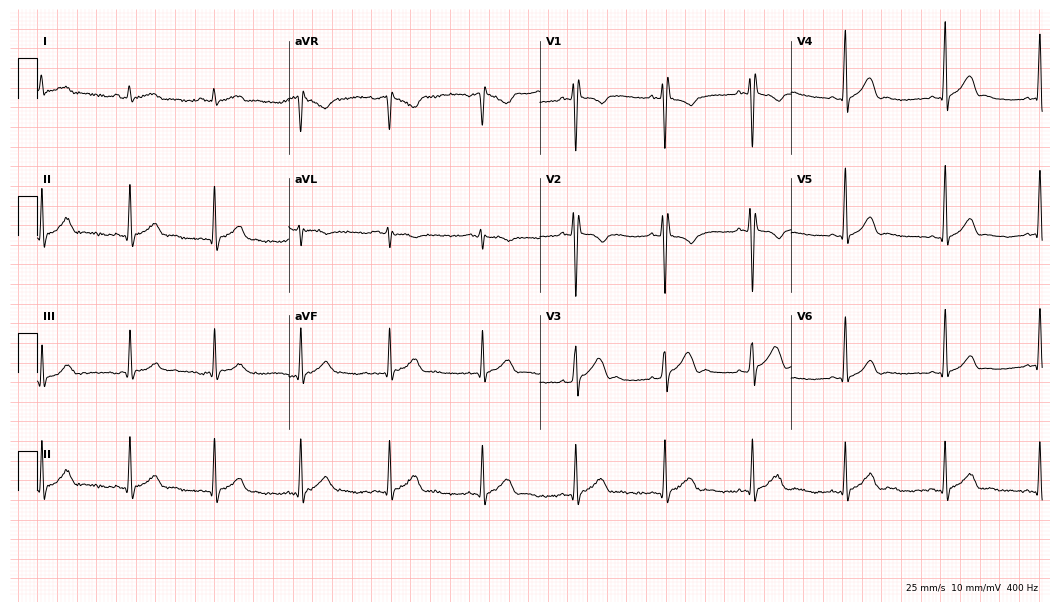
Standard 12-lead ECG recorded from an 18-year-old male. None of these six findings is recorded: first-degree AV block, right bundle branch block, left bundle branch block, sinus bradycardia, atrial fibrillation, sinus tachycardia. Only these six findings were labelled.